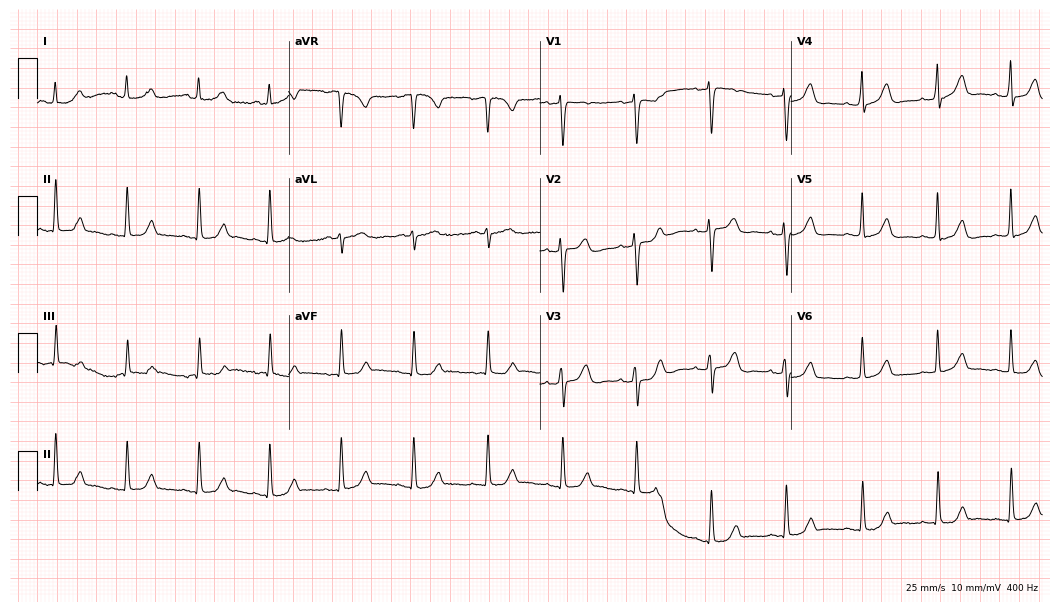
12-lead ECG from a woman, 66 years old. Labelled as a normal ECG.